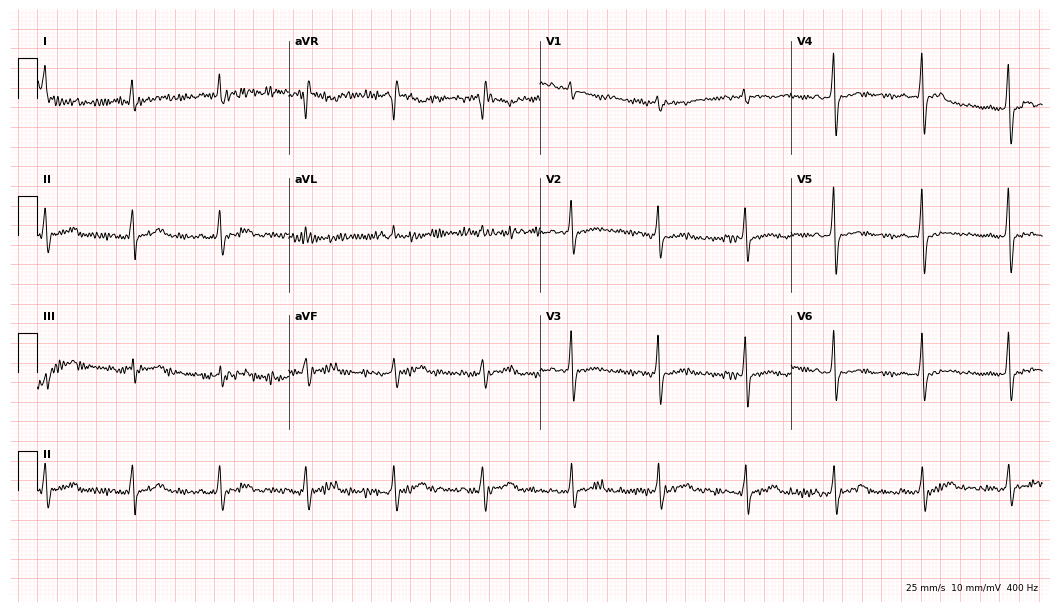
Electrocardiogram (10.2-second recording at 400 Hz), a 59-year-old woman. Of the six screened findings (first-degree AV block, right bundle branch block, left bundle branch block, sinus bradycardia, atrial fibrillation, sinus tachycardia), none is recorded. Only these six findings were labelled.